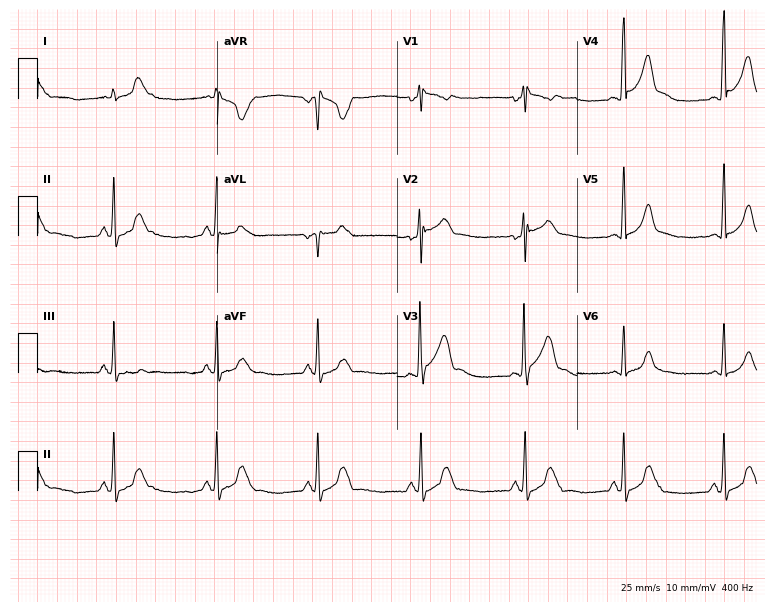
12-lead ECG from a 34-year-old male patient. Labelled as a normal ECG.